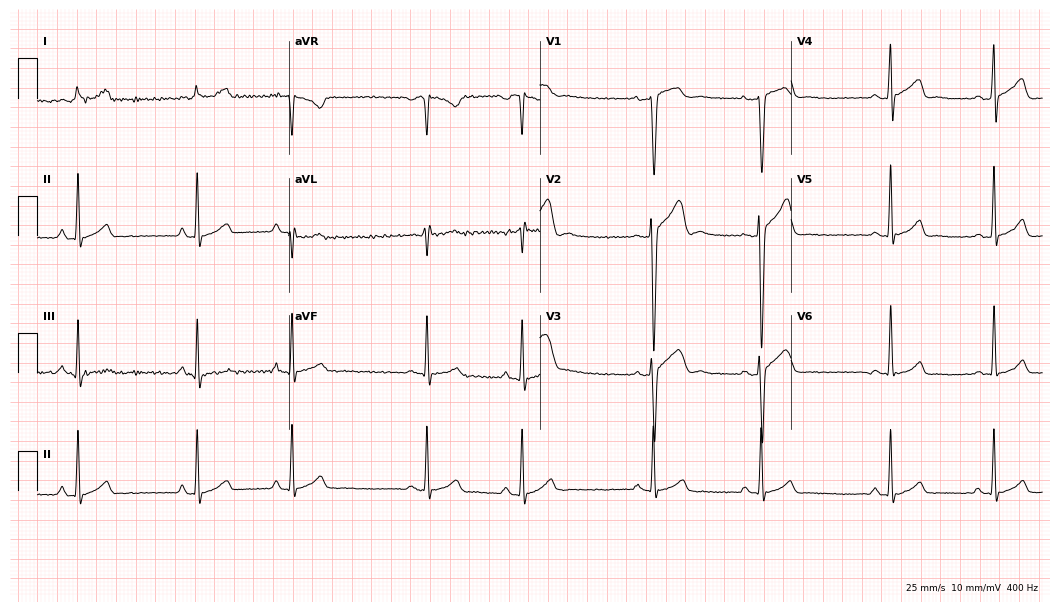
ECG — a 28-year-old male. Labelled as a normal ECG.